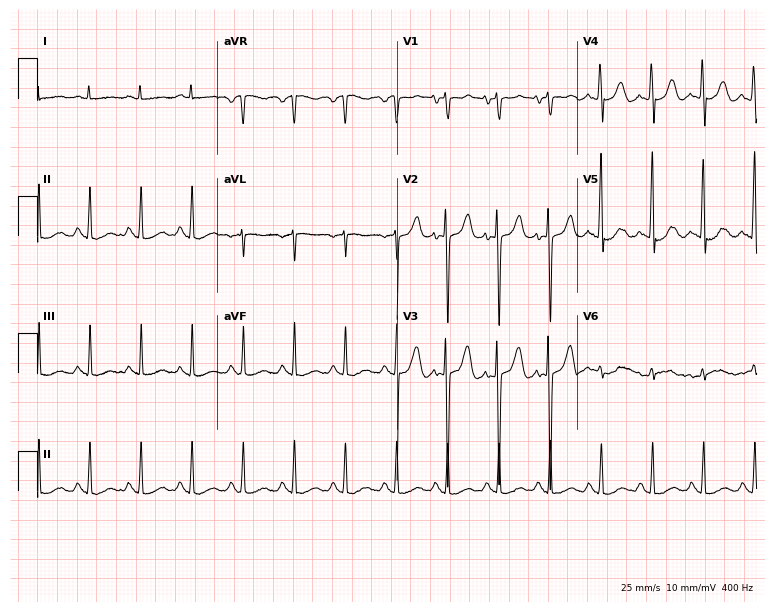
12-lead ECG from a female, 27 years old (7.3-second recording at 400 Hz). No first-degree AV block, right bundle branch block, left bundle branch block, sinus bradycardia, atrial fibrillation or sinus tachycardia recorded for this tracing.